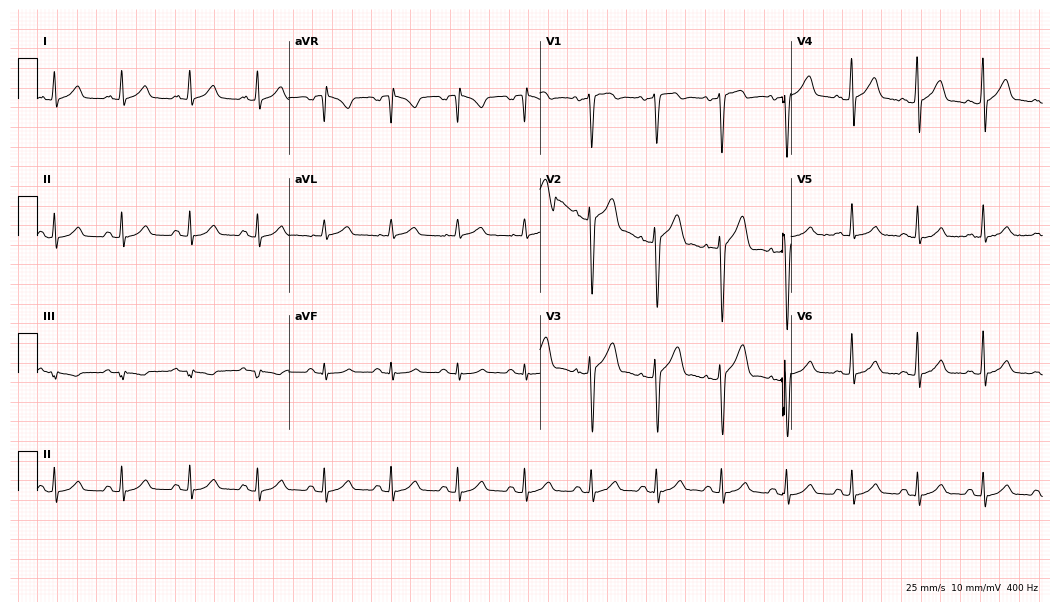
ECG — a male patient, 48 years old. Screened for six findings — first-degree AV block, right bundle branch block (RBBB), left bundle branch block (LBBB), sinus bradycardia, atrial fibrillation (AF), sinus tachycardia — none is recorded. Other findings, if any, are not listed.